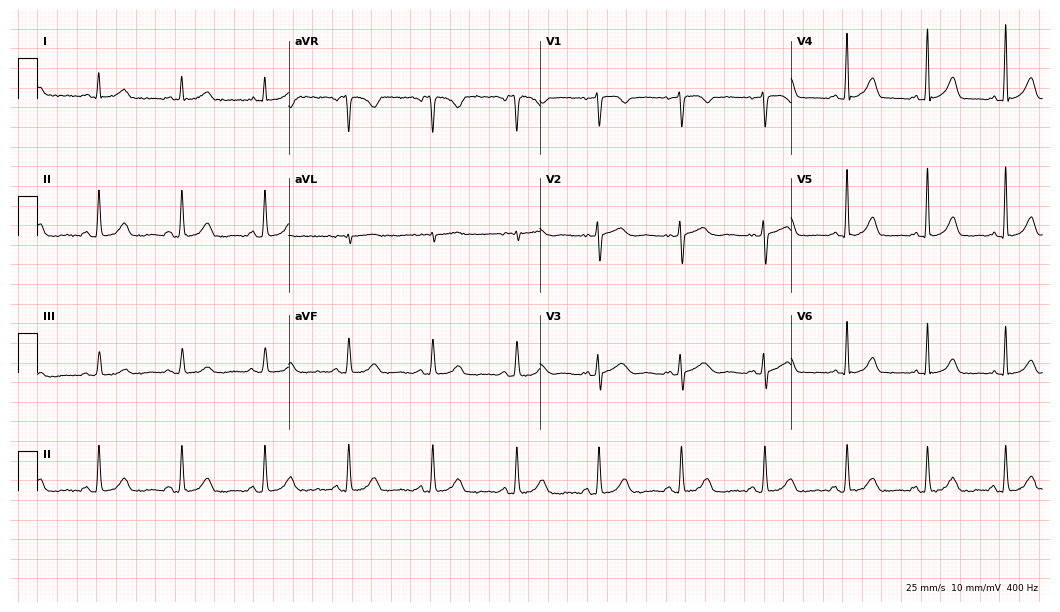
Electrocardiogram (10.2-second recording at 400 Hz), a woman, 46 years old. Overall reading on record: normal ECG.